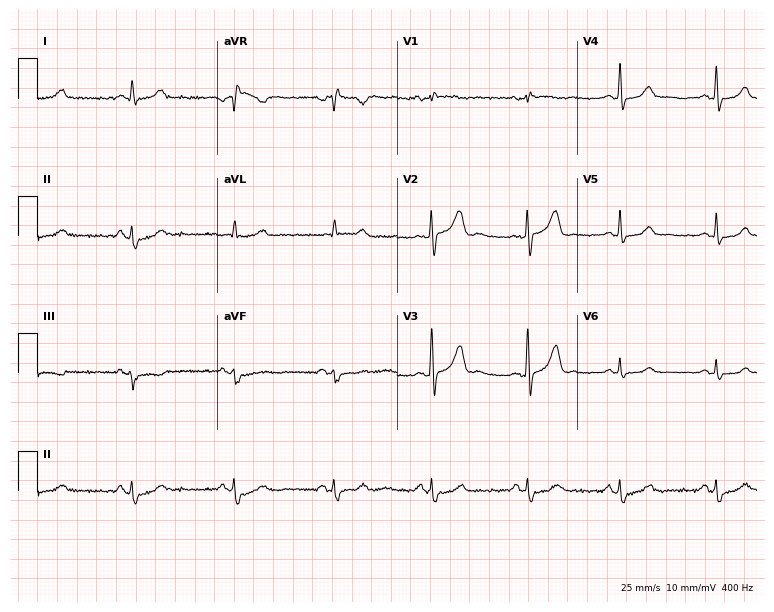
ECG (7.3-second recording at 400 Hz) — a 39-year-old woman. Screened for six findings — first-degree AV block, right bundle branch block, left bundle branch block, sinus bradycardia, atrial fibrillation, sinus tachycardia — none is recorded. Only these six findings were labelled.